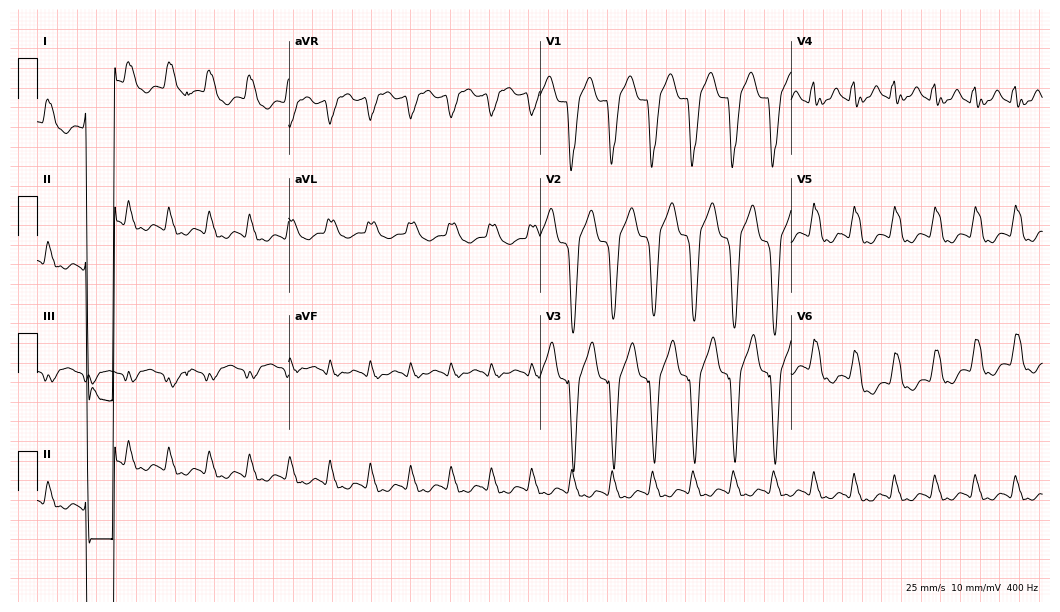
ECG — an 83-year-old man. Screened for six findings — first-degree AV block, right bundle branch block (RBBB), left bundle branch block (LBBB), sinus bradycardia, atrial fibrillation (AF), sinus tachycardia — none is recorded.